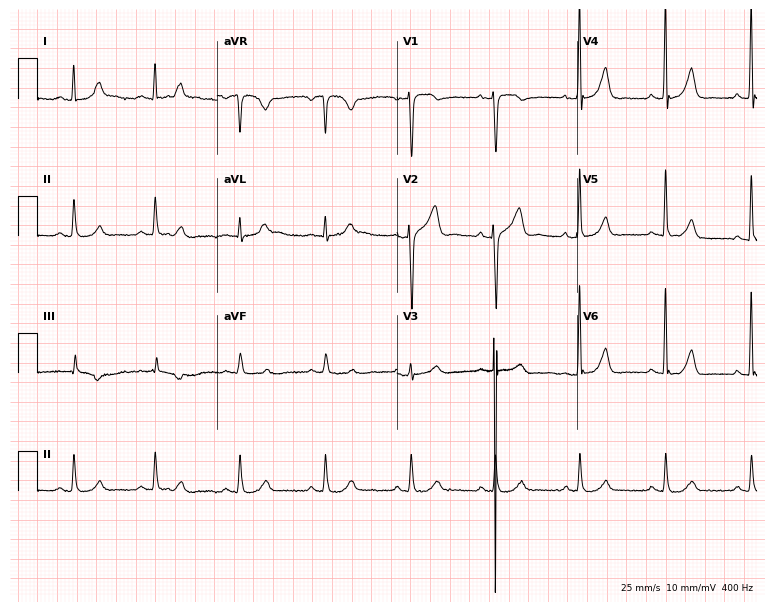
Resting 12-lead electrocardiogram (7.3-second recording at 400 Hz). Patient: a male, 61 years old. Read as a normal ECG.